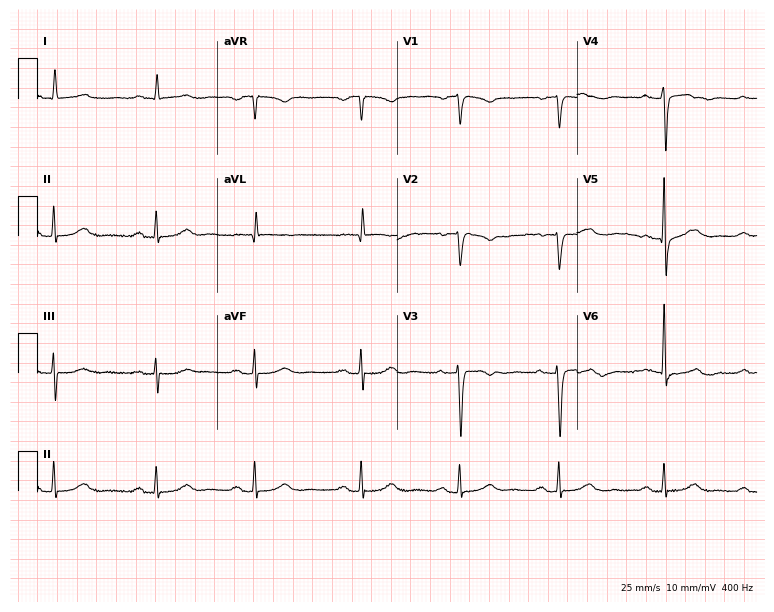
Resting 12-lead electrocardiogram (7.3-second recording at 400 Hz). Patient: a woman, 75 years old. Read as a normal ECG.